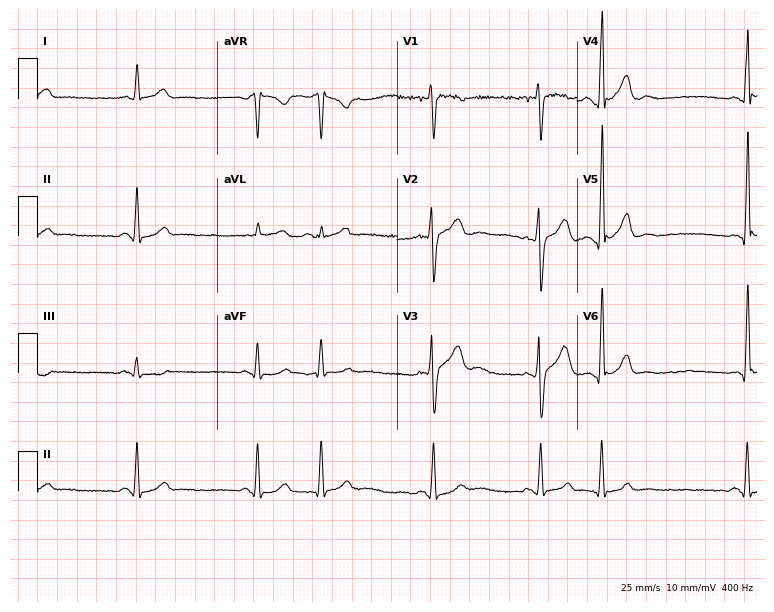
ECG — a man, 19 years old. Screened for six findings — first-degree AV block, right bundle branch block, left bundle branch block, sinus bradycardia, atrial fibrillation, sinus tachycardia — none is recorded.